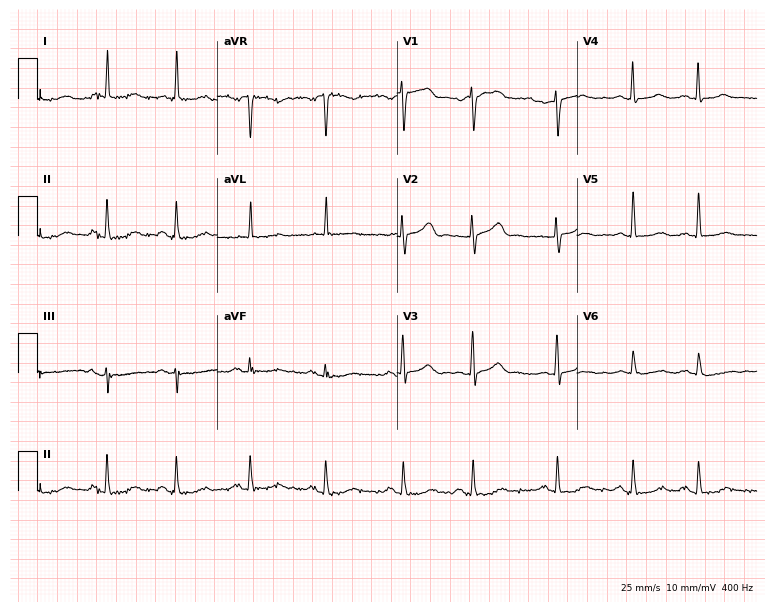
12-lead ECG (7.3-second recording at 400 Hz) from an 84-year-old female. Screened for six findings — first-degree AV block, right bundle branch block, left bundle branch block, sinus bradycardia, atrial fibrillation, sinus tachycardia — none is recorded.